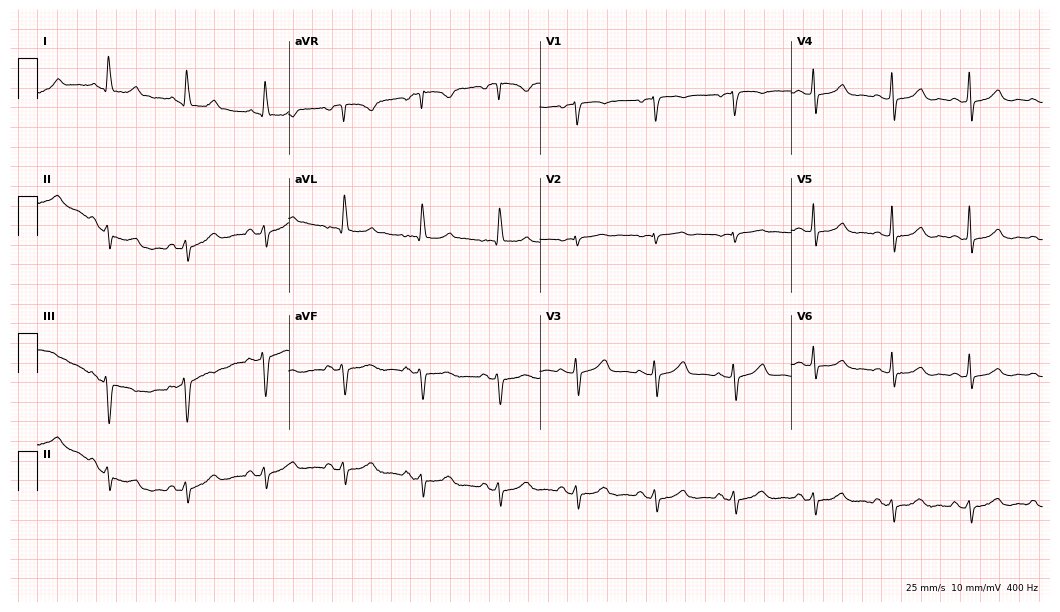
12-lead ECG from a female patient, 64 years old. No first-degree AV block, right bundle branch block, left bundle branch block, sinus bradycardia, atrial fibrillation or sinus tachycardia recorded for this tracing. Other findings, if any, are not listed.